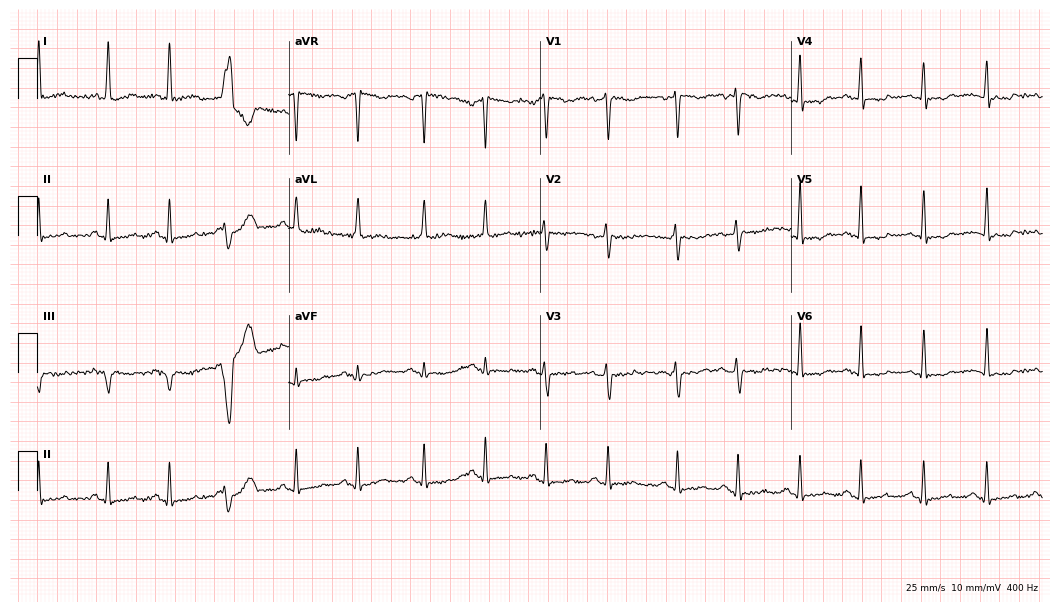
Resting 12-lead electrocardiogram (10.2-second recording at 400 Hz). Patient: a female, 38 years old. None of these six findings is recorded: first-degree AV block, right bundle branch block, left bundle branch block, sinus bradycardia, atrial fibrillation, sinus tachycardia. Other findings, if any, are not listed.